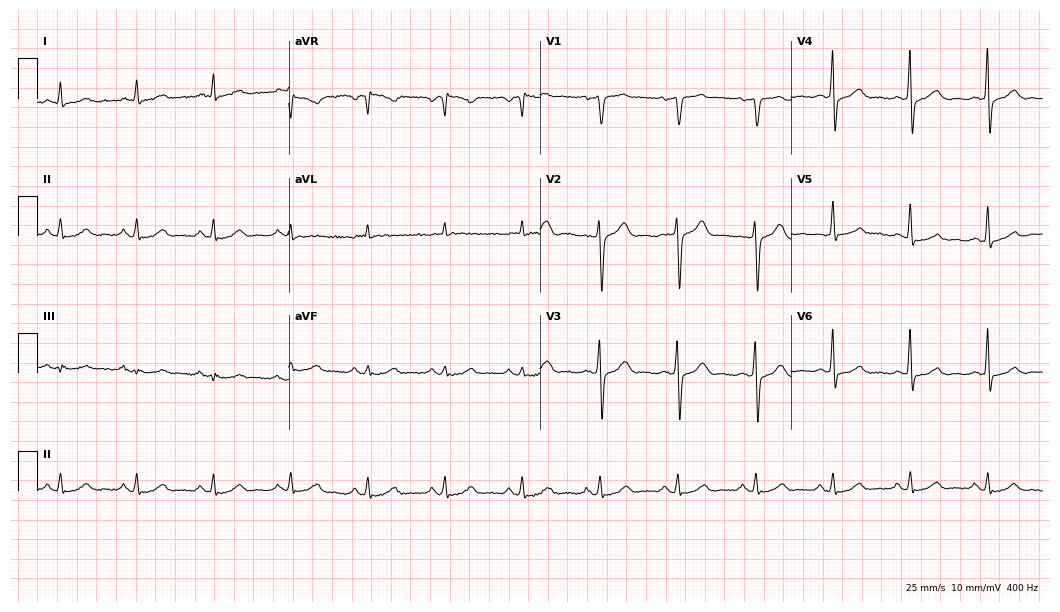
ECG (10.2-second recording at 400 Hz) — a 64-year-old man. Labelled as a normal ECG.